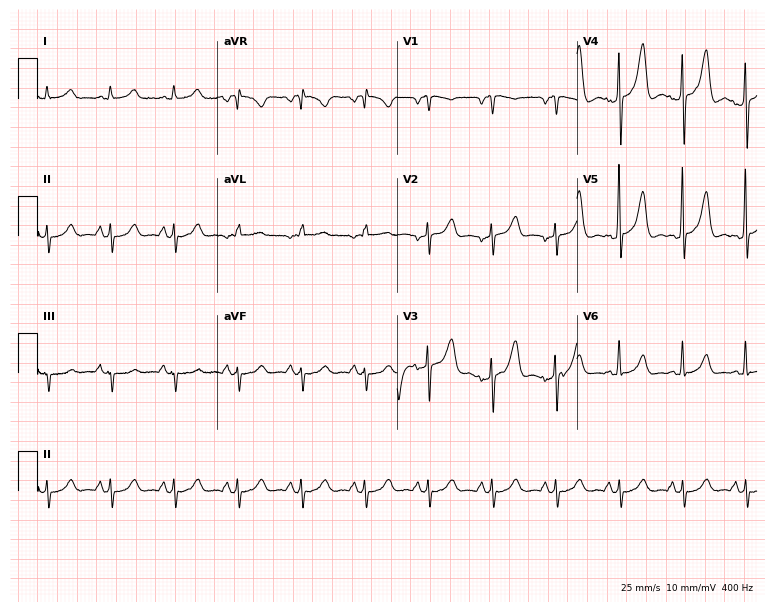
12-lead ECG from a 57-year-old man (7.3-second recording at 400 Hz). No first-degree AV block, right bundle branch block (RBBB), left bundle branch block (LBBB), sinus bradycardia, atrial fibrillation (AF) or sinus tachycardia recorded for this tracing.